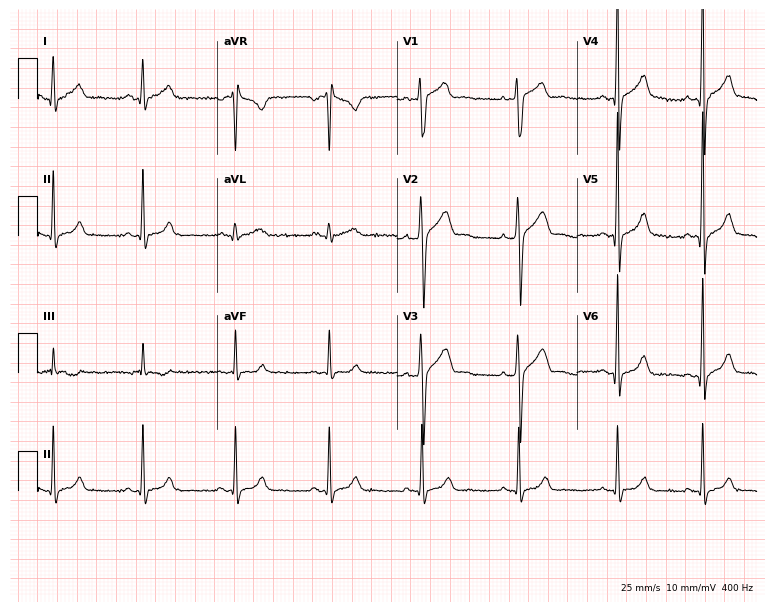
Electrocardiogram (7.3-second recording at 400 Hz), a 21-year-old man. Of the six screened findings (first-degree AV block, right bundle branch block (RBBB), left bundle branch block (LBBB), sinus bradycardia, atrial fibrillation (AF), sinus tachycardia), none is recorded.